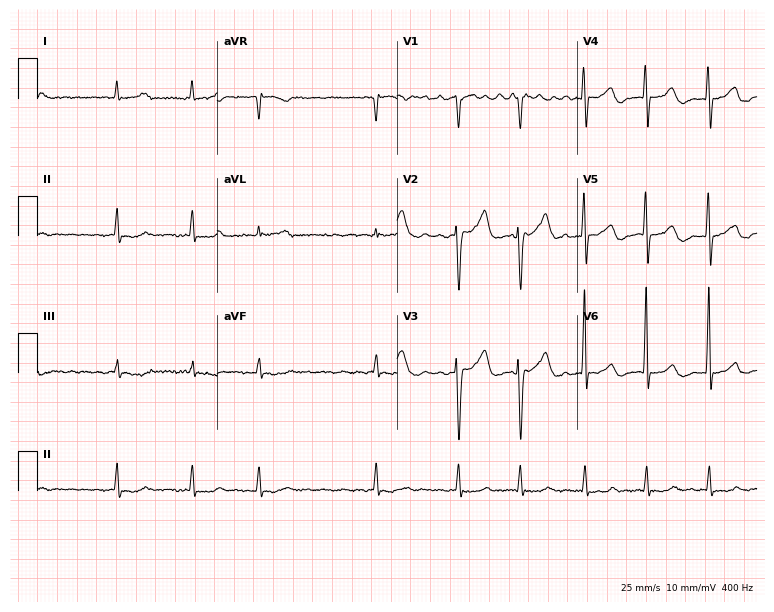
12-lead ECG from a 77-year-old man. Shows atrial fibrillation.